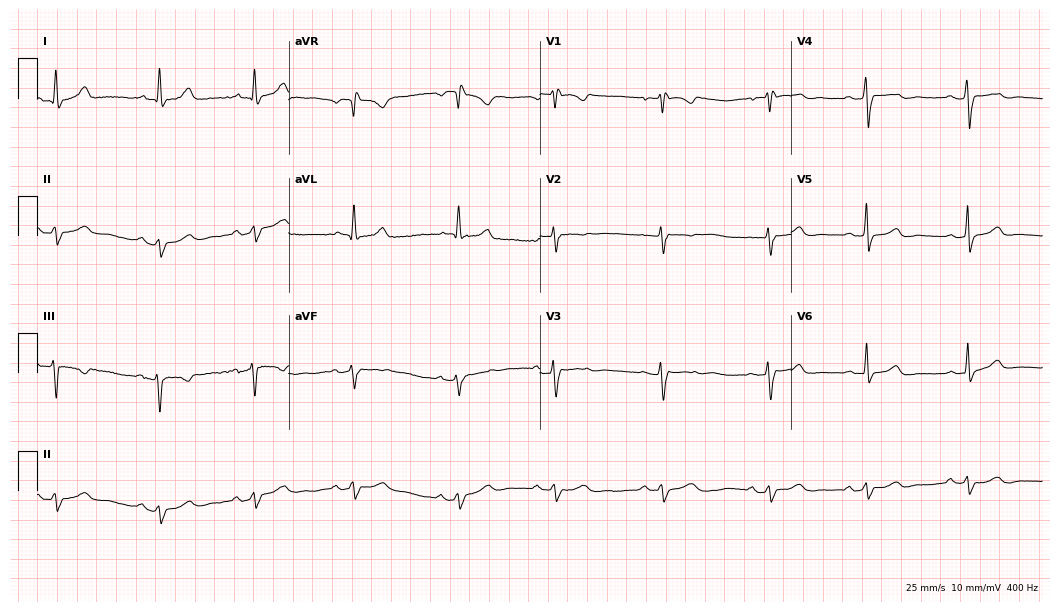
Resting 12-lead electrocardiogram (10.2-second recording at 400 Hz). Patient: a female, 36 years old. None of these six findings is recorded: first-degree AV block, right bundle branch block, left bundle branch block, sinus bradycardia, atrial fibrillation, sinus tachycardia.